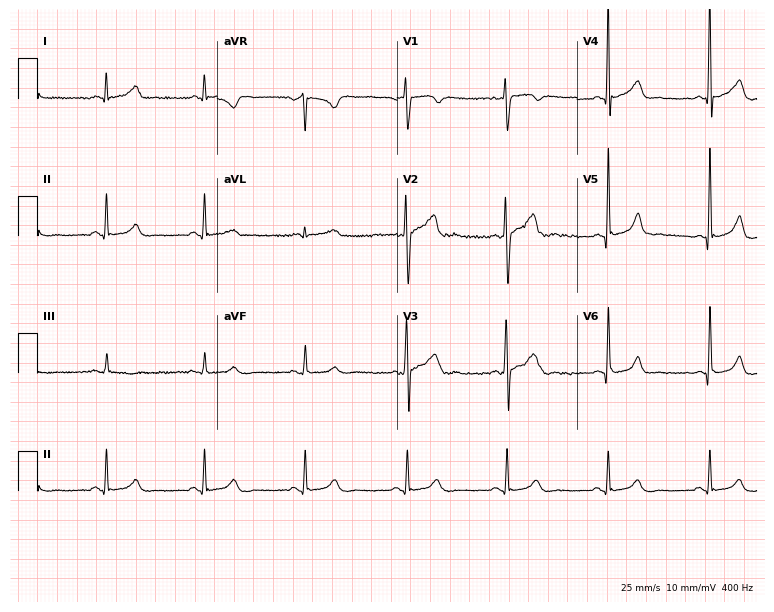
12-lead ECG (7.3-second recording at 400 Hz) from a 43-year-old man. Labelled as a normal ECG.